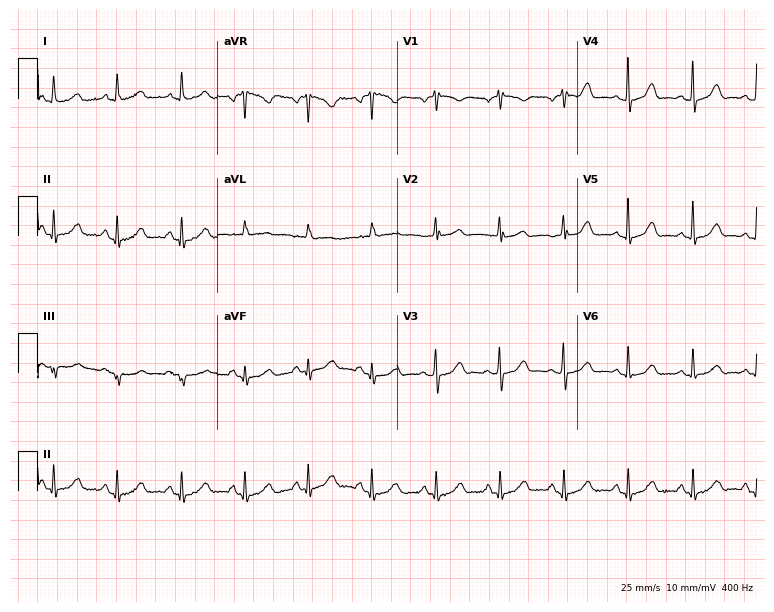
ECG — a female, 65 years old. Labelled as a normal ECG.